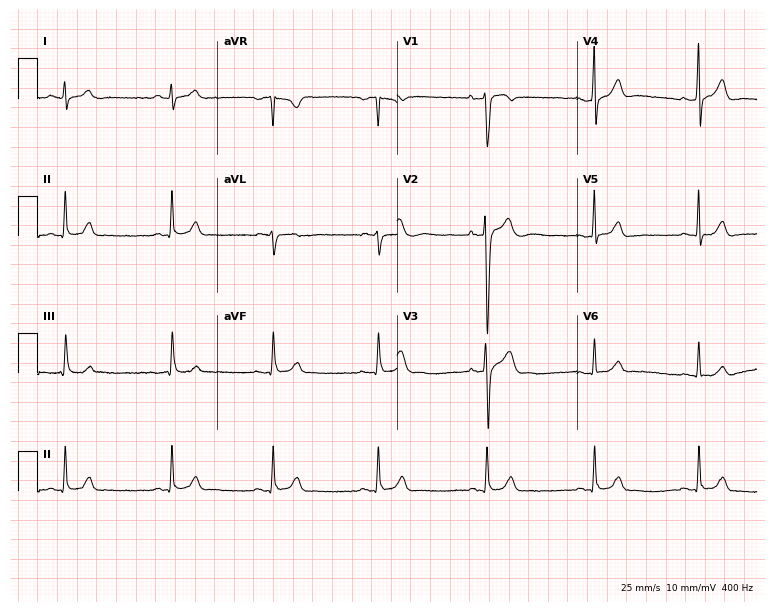
Standard 12-lead ECG recorded from a 36-year-old man. None of these six findings is recorded: first-degree AV block, right bundle branch block, left bundle branch block, sinus bradycardia, atrial fibrillation, sinus tachycardia. Findings outside these six are not listed.